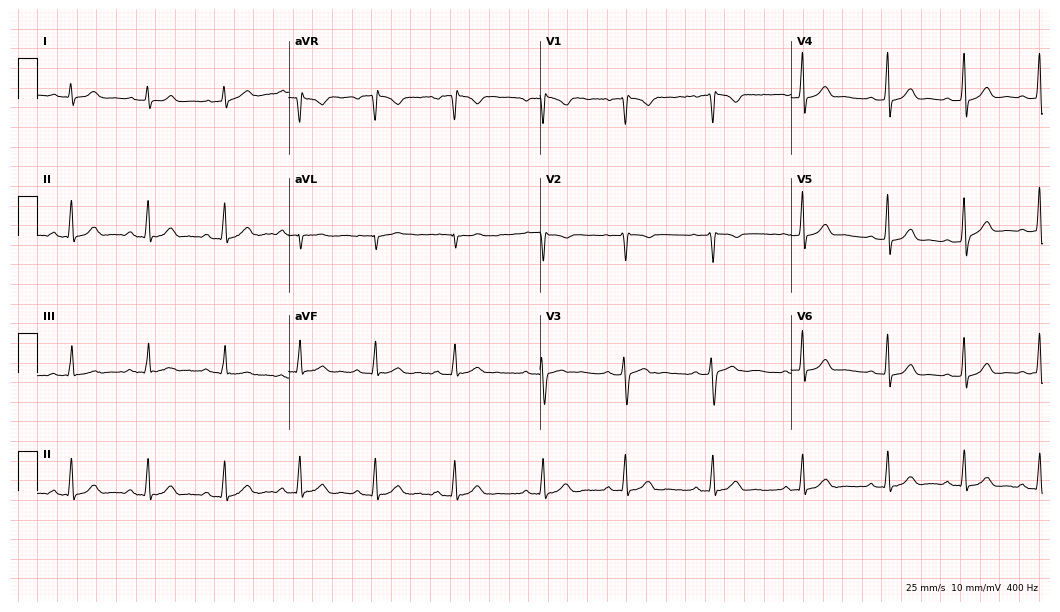
Electrocardiogram (10.2-second recording at 400 Hz), an 18-year-old female. Overall reading on record: normal ECG.